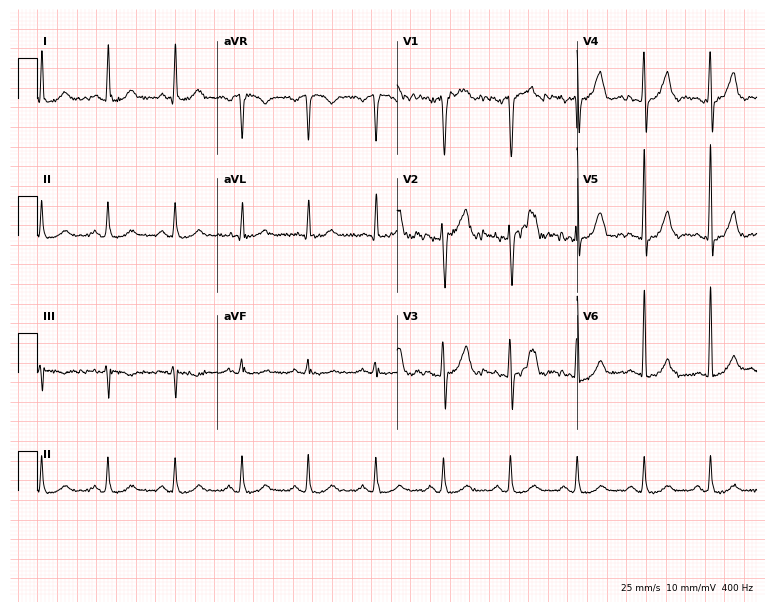
ECG (7.3-second recording at 400 Hz) — a man, 43 years old. Screened for six findings — first-degree AV block, right bundle branch block (RBBB), left bundle branch block (LBBB), sinus bradycardia, atrial fibrillation (AF), sinus tachycardia — none is recorded.